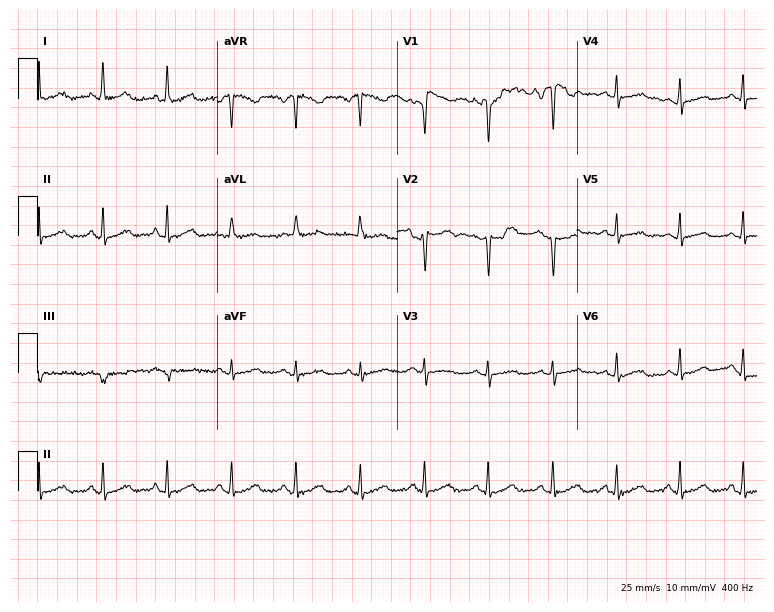
Resting 12-lead electrocardiogram. Patient: a 64-year-old female. None of these six findings is recorded: first-degree AV block, right bundle branch block (RBBB), left bundle branch block (LBBB), sinus bradycardia, atrial fibrillation (AF), sinus tachycardia. Findings outside these six are not listed.